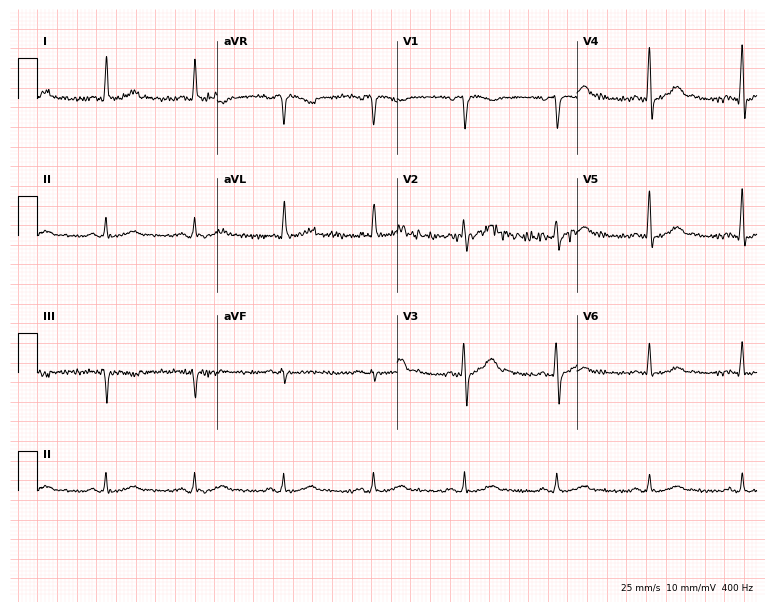
ECG (7.3-second recording at 400 Hz) — a 56-year-old male patient. Screened for six findings — first-degree AV block, right bundle branch block (RBBB), left bundle branch block (LBBB), sinus bradycardia, atrial fibrillation (AF), sinus tachycardia — none is recorded.